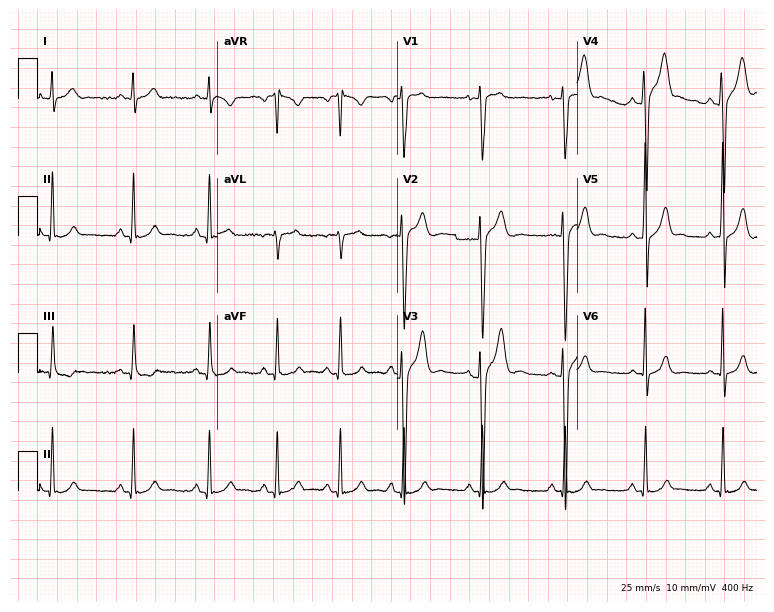
12-lead ECG (7.3-second recording at 400 Hz) from a male patient, 25 years old. Labelled as a normal ECG.